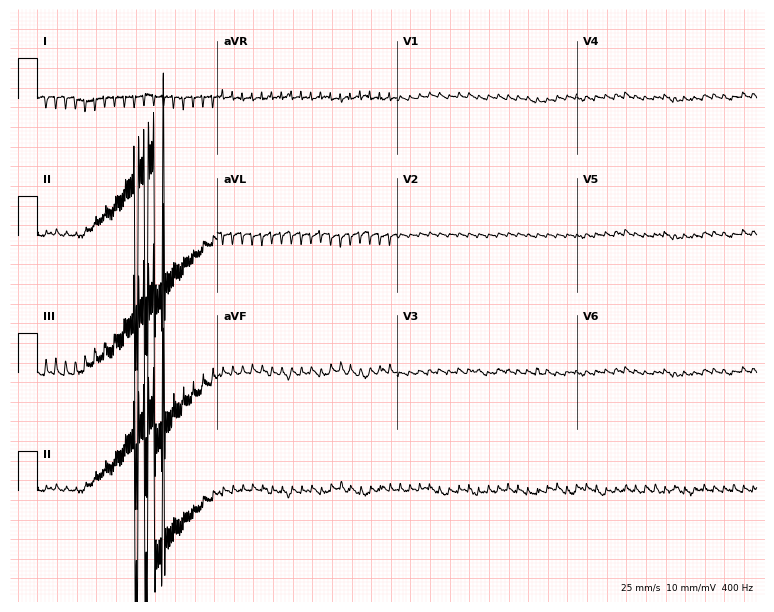
ECG — a male patient, 56 years old. Screened for six findings — first-degree AV block, right bundle branch block (RBBB), left bundle branch block (LBBB), sinus bradycardia, atrial fibrillation (AF), sinus tachycardia — none is recorded. Findings outside these six are not listed.